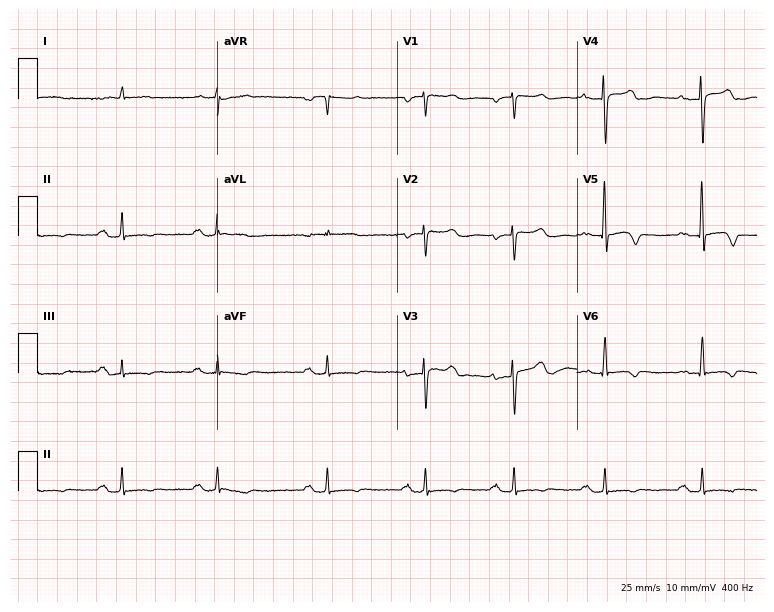
ECG — a female patient, 67 years old. Screened for six findings — first-degree AV block, right bundle branch block (RBBB), left bundle branch block (LBBB), sinus bradycardia, atrial fibrillation (AF), sinus tachycardia — none is recorded.